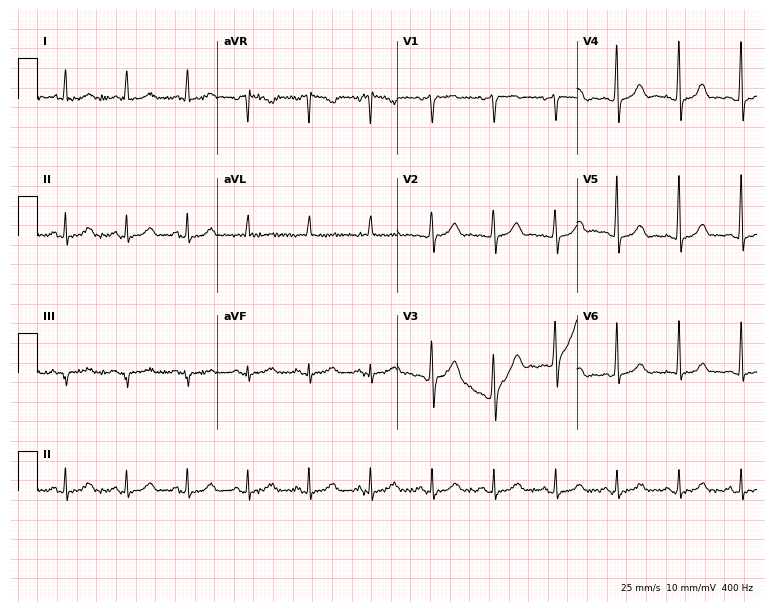
ECG — an 80-year-old female patient. Labelled as a normal ECG.